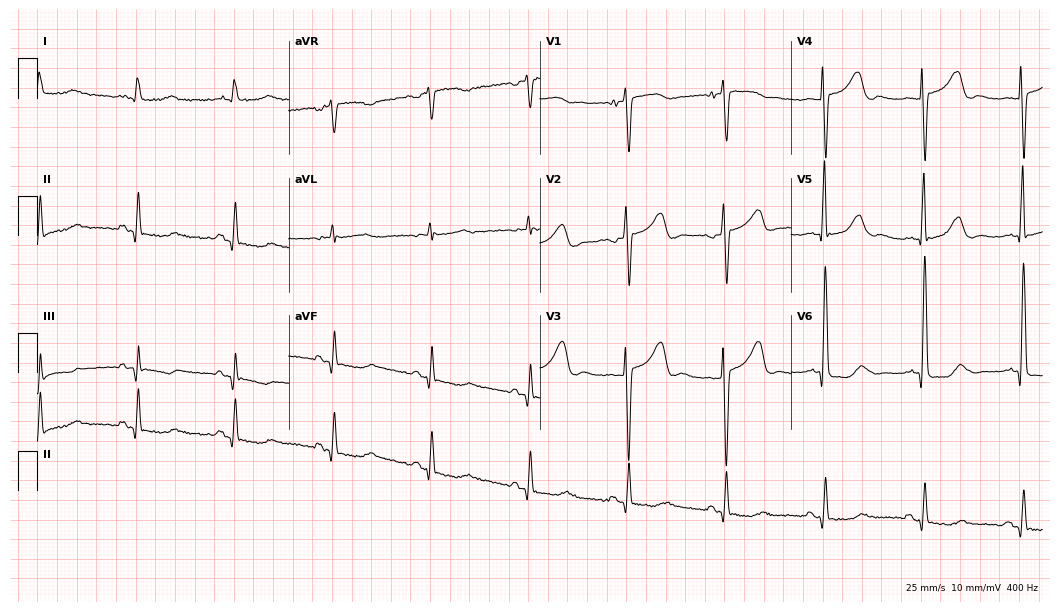
ECG — an 84-year-old male. Screened for six findings — first-degree AV block, right bundle branch block (RBBB), left bundle branch block (LBBB), sinus bradycardia, atrial fibrillation (AF), sinus tachycardia — none is recorded. Only these six findings were labelled.